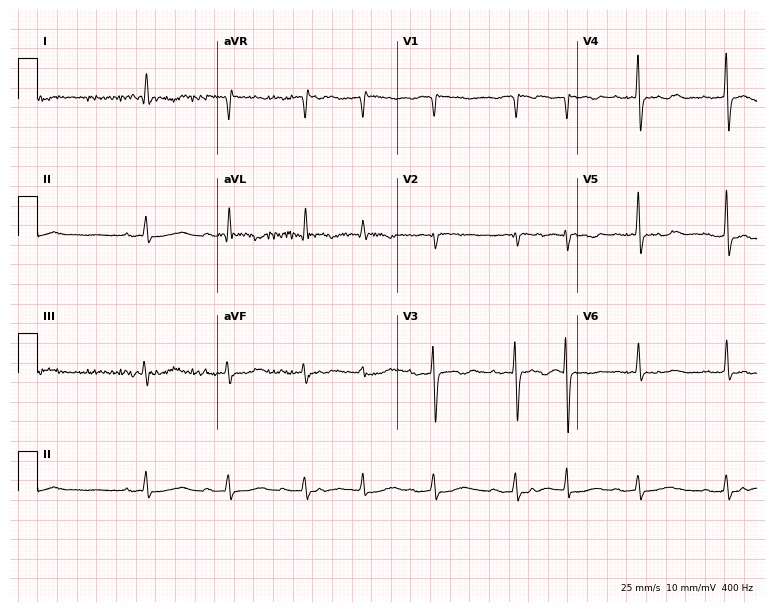
Standard 12-lead ECG recorded from a 71-year-old female. The tracing shows atrial fibrillation.